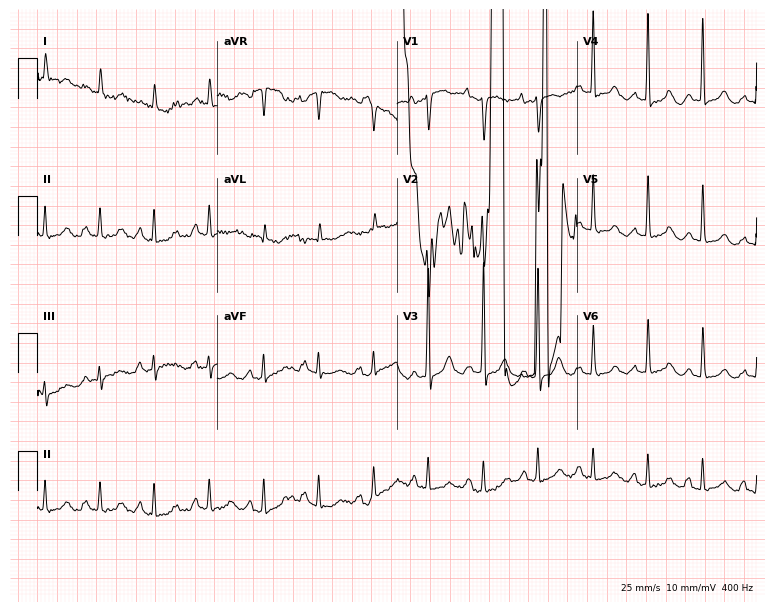
Standard 12-lead ECG recorded from a 79-year-old female. The tracing shows sinus tachycardia (a sinus rate of 100 beats per minute or more).